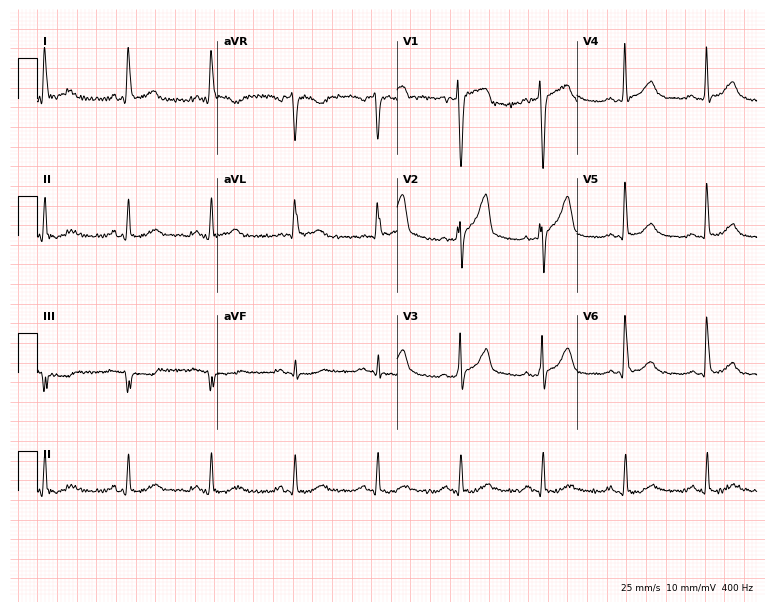
12-lead ECG from a man, 60 years old (7.3-second recording at 400 Hz). No first-degree AV block, right bundle branch block, left bundle branch block, sinus bradycardia, atrial fibrillation or sinus tachycardia recorded for this tracing.